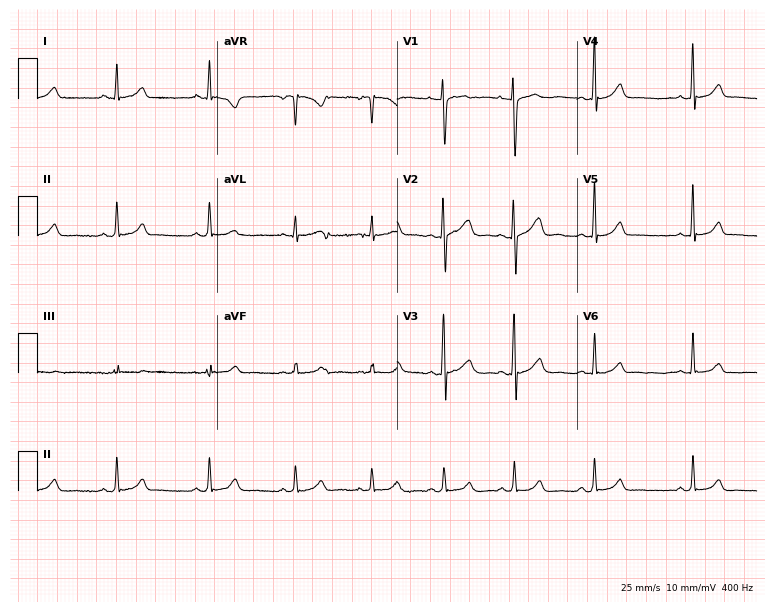
12-lead ECG (7.3-second recording at 400 Hz) from a 20-year-old female. Labelled as a normal ECG.